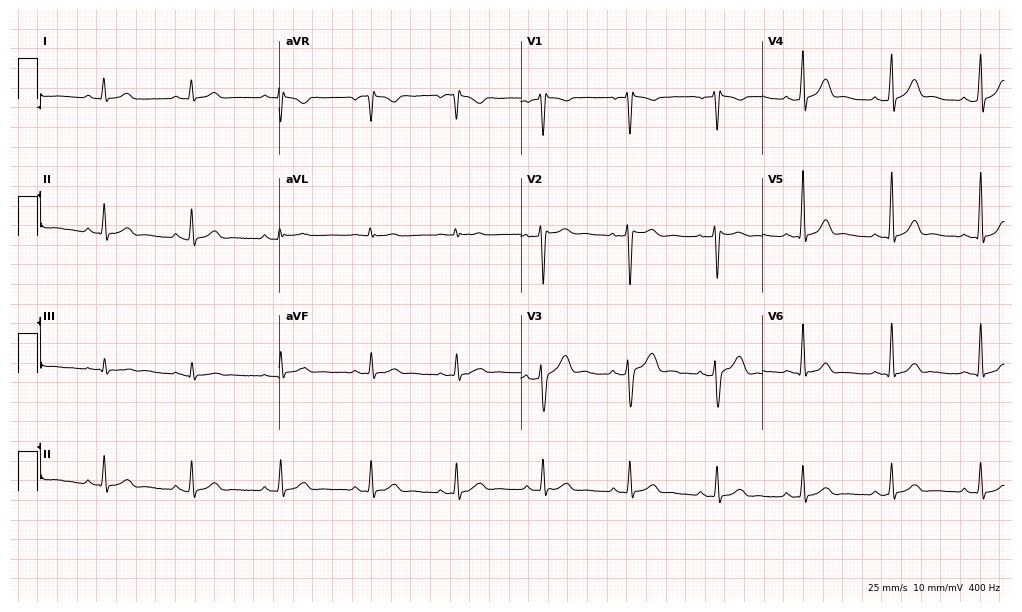
12-lead ECG from a male, 26 years old (9.9-second recording at 400 Hz). Recorded interpretation: within normal limits.